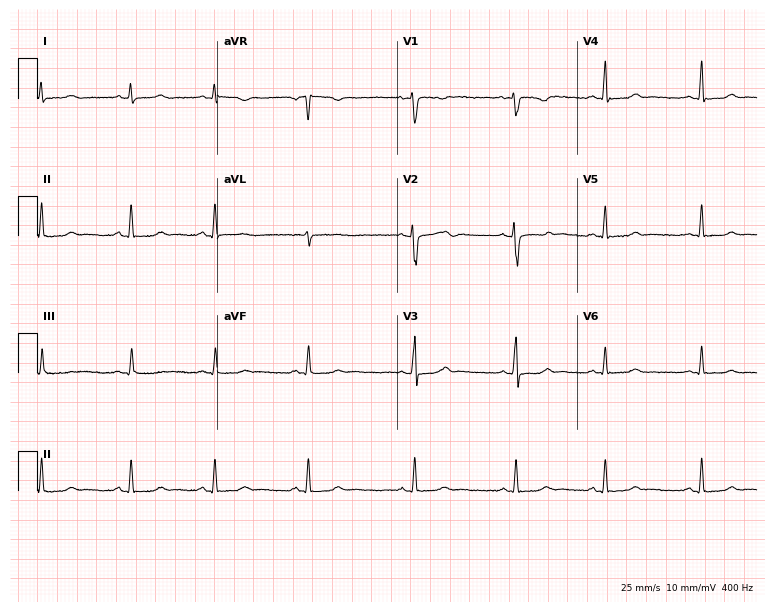
12-lead ECG (7.3-second recording at 400 Hz) from a female patient, 18 years old. Screened for six findings — first-degree AV block, right bundle branch block (RBBB), left bundle branch block (LBBB), sinus bradycardia, atrial fibrillation (AF), sinus tachycardia — none is recorded. Findings outside these six are not listed.